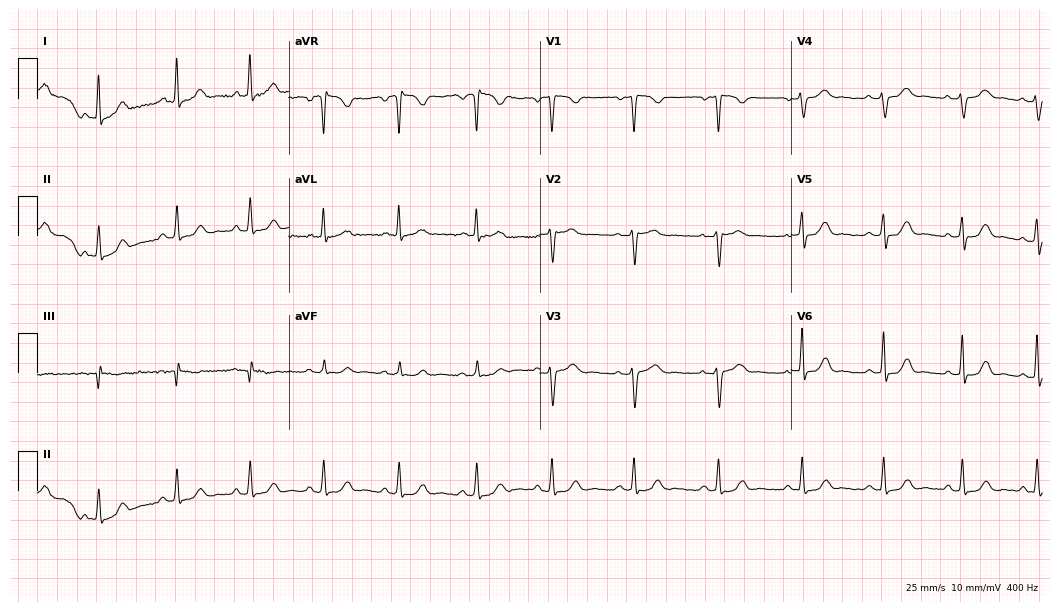
12-lead ECG from a woman, 28 years old. Screened for six findings — first-degree AV block, right bundle branch block (RBBB), left bundle branch block (LBBB), sinus bradycardia, atrial fibrillation (AF), sinus tachycardia — none is recorded.